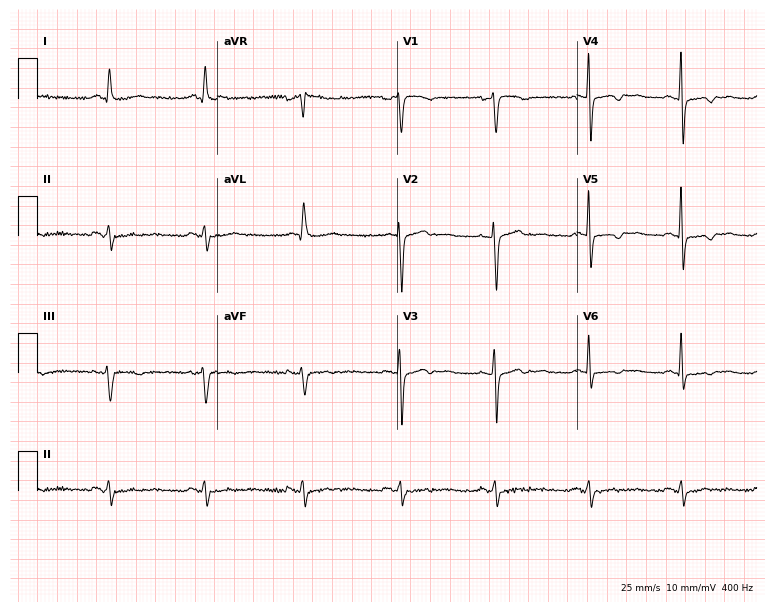
Electrocardiogram, a female patient, 57 years old. Of the six screened findings (first-degree AV block, right bundle branch block, left bundle branch block, sinus bradycardia, atrial fibrillation, sinus tachycardia), none is recorded. Findings outside these six are not listed.